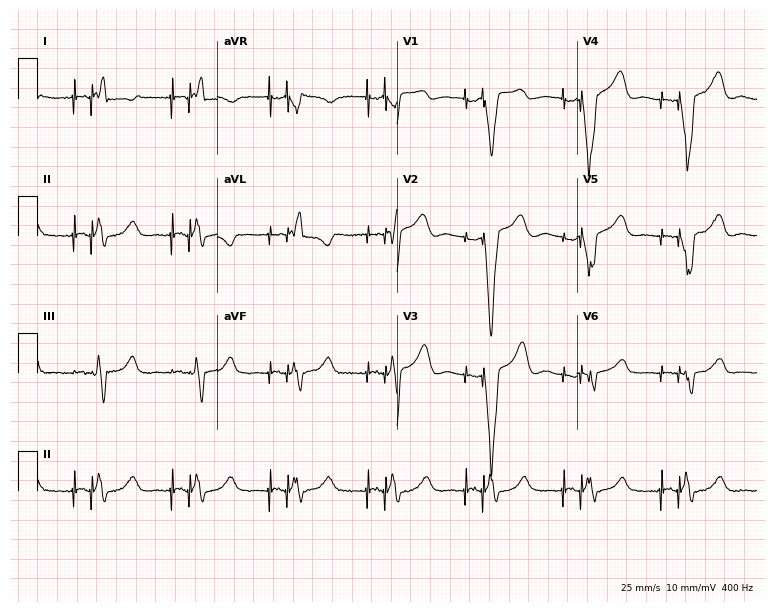
ECG (7.3-second recording at 400 Hz) — a woman, 57 years old. Screened for six findings — first-degree AV block, right bundle branch block (RBBB), left bundle branch block (LBBB), sinus bradycardia, atrial fibrillation (AF), sinus tachycardia — none is recorded.